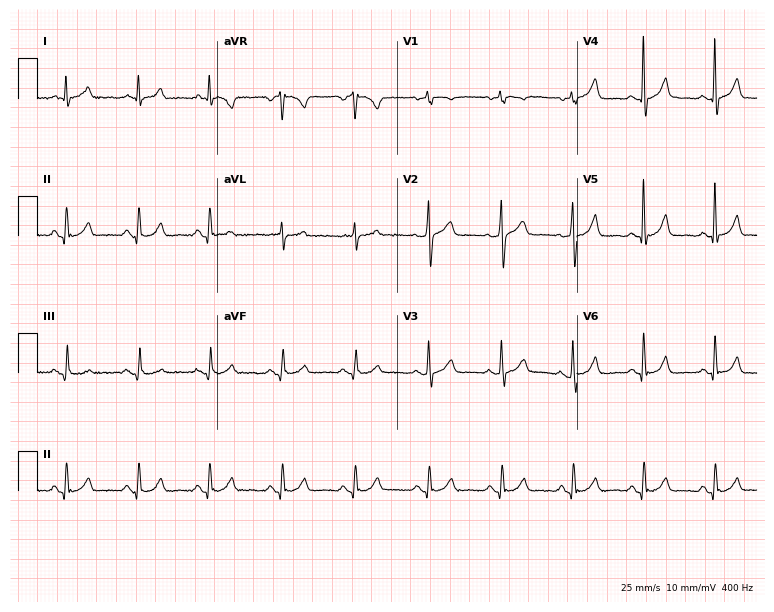
Resting 12-lead electrocardiogram (7.3-second recording at 400 Hz). Patient: a male, 74 years old. Read as a normal ECG.